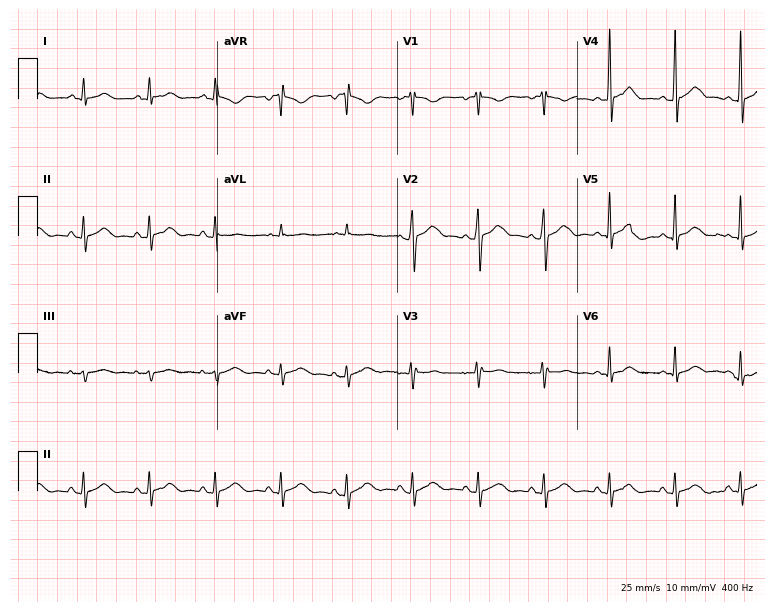
Resting 12-lead electrocardiogram. Patient: a 38-year-old male. None of these six findings is recorded: first-degree AV block, right bundle branch block, left bundle branch block, sinus bradycardia, atrial fibrillation, sinus tachycardia. Only these six findings were labelled.